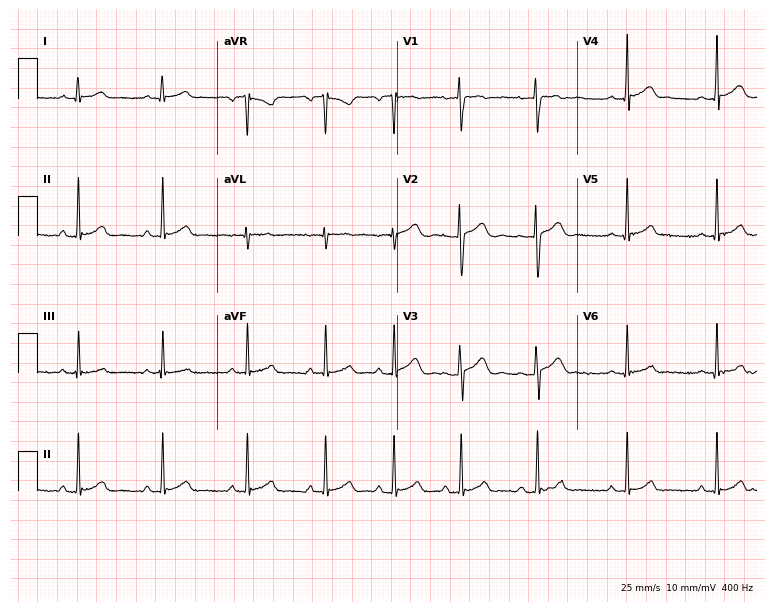
Standard 12-lead ECG recorded from a woman, 18 years old (7.3-second recording at 400 Hz). Read as a normal ECG.